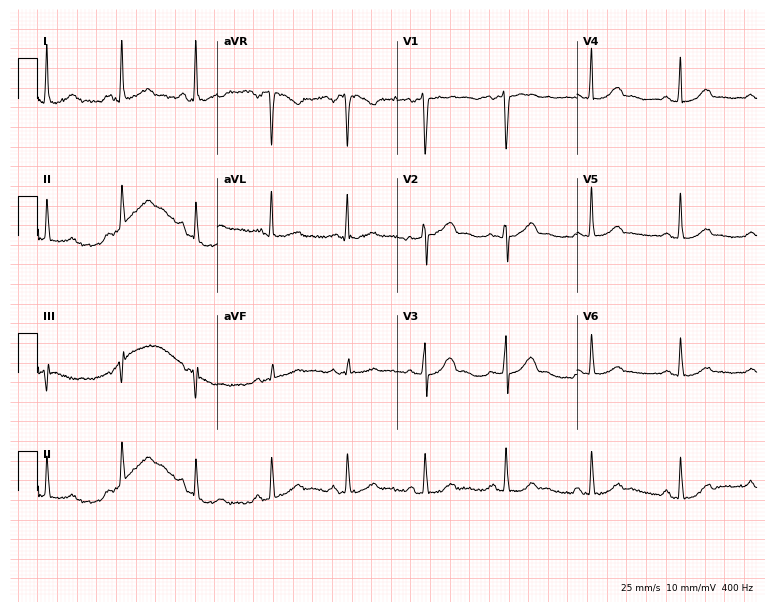
Standard 12-lead ECG recorded from a 35-year-old female patient. Read as a normal ECG.